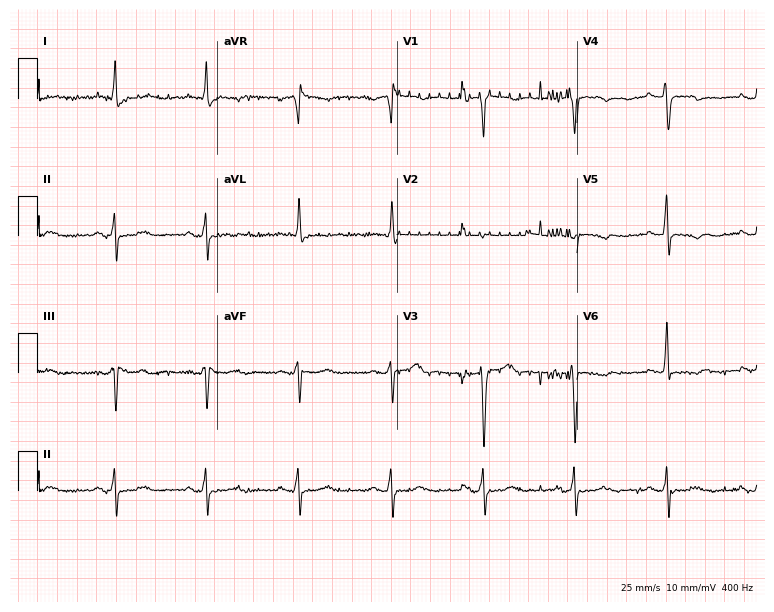
Electrocardiogram, a 72-year-old female. Of the six screened findings (first-degree AV block, right bundle branch block (RBBB), left bundle branch block (LBBB), sinus bradycardia, atrial fibrillation (AF), sinus tachycardia), none is recorded. Findings outside these six are not listed.